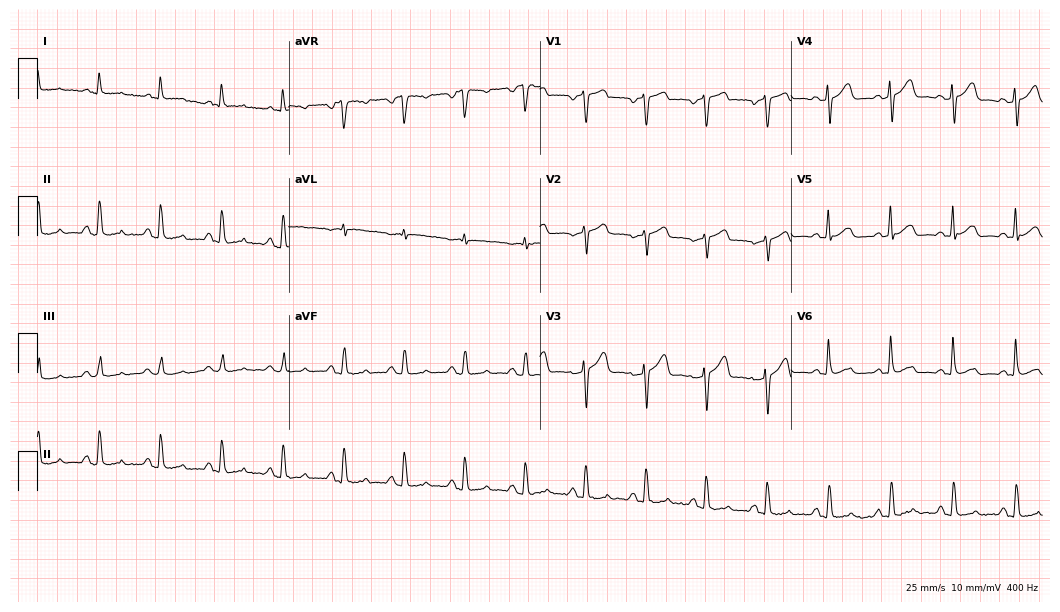
Standard 12-lead ECG recorded from a male patient, 67 years old (10.2-second recording at 400 Hz). None of these six findings is recorded: first-degree AV block, right bundle branch block (RBBB), left bundle branch block (LBBB), sinus bradycardia, atrial fibrillation (AF), sinus tachycardia. Only these six findings were labelled.